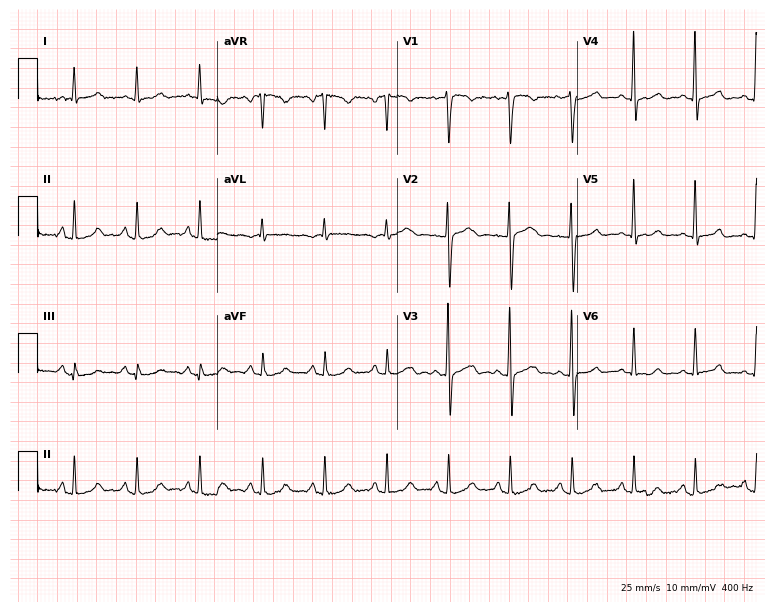
12-lead ECG from a man, 48 years old. Screened for six findings — first-degree AV block, right bundle branch block (RBBB), left bundle branch block (LBBB), sinus bradycardia, atrial fibrillation (AF), sinus tachycardia — none is recorded.